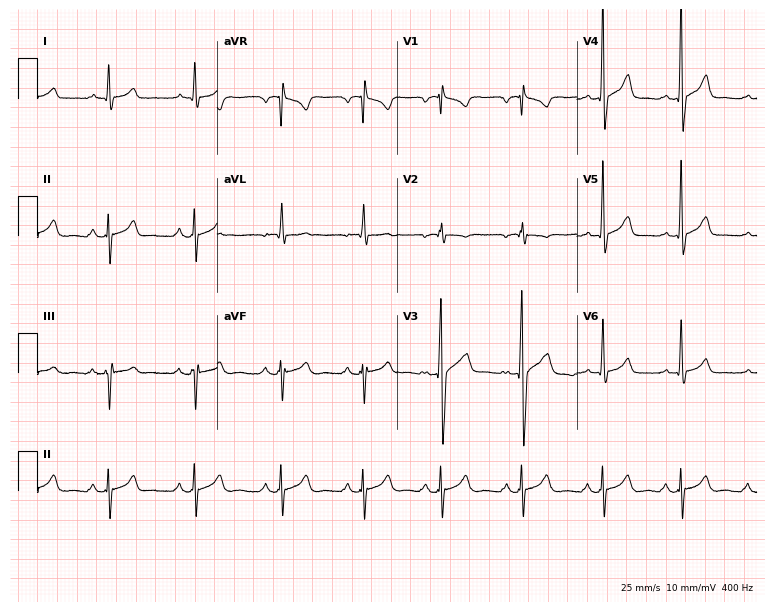
12-lead ECG from a male patient, 23 years old (7.3-second recording at 400 Hz). No first-degree AV block, right bundle branch block (RBBB), left bundle branch block (LBBB), sinus bradycardia, atrial fibrillation (AF) or sinus tachycardia recorded for this tracing.